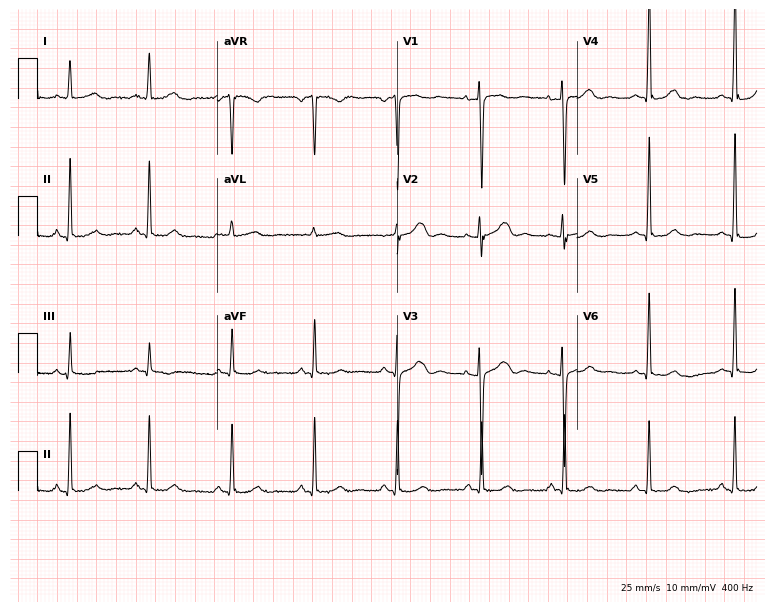
12-lead ECG (7.3-second recording at 400 Hz) from a woman, 39 years old. Labelled as a normal ECG.